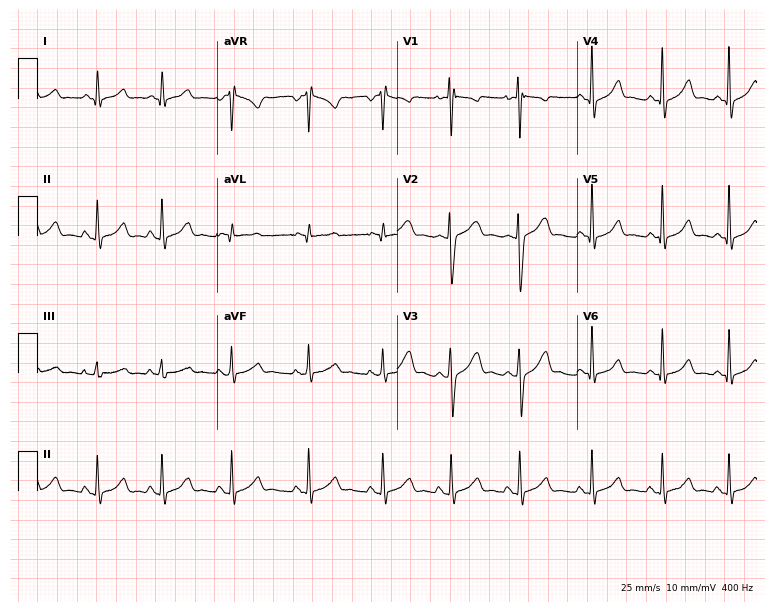
Electrocardiogram, a male, 17 years old. Overall reading on record: normal ECG.